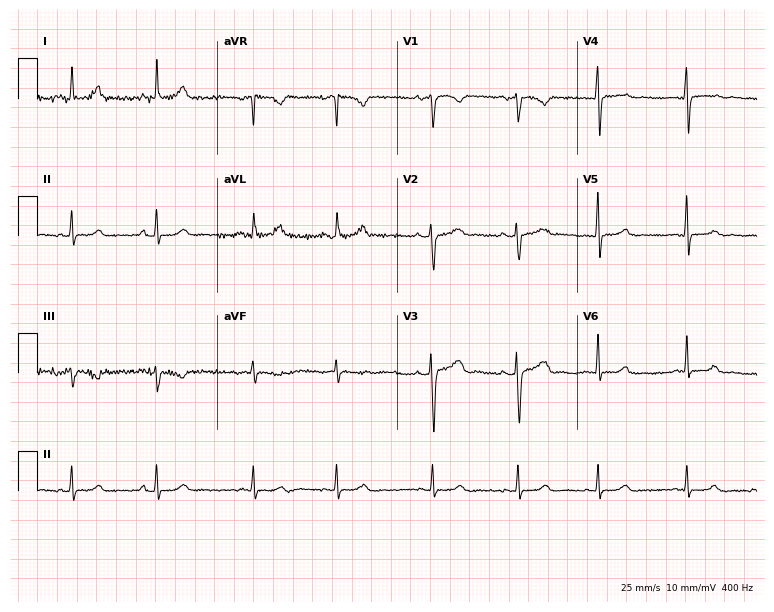
ECG (7.3-second recording at 400 Hz) — a female, 34 years old. Labelled as a normal ECG.